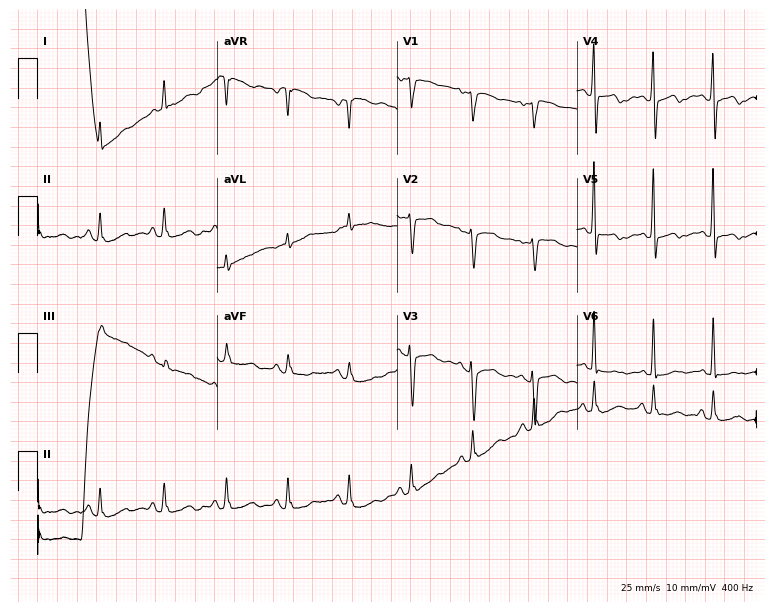
Standard 12-lead ECG recorded from a 72-year-old female patient (7.3-second recording at 400 Hz). None of these six findings is recorded: first-degree AV block, right bundle branch block, left bundle branch block, sinus bradycardia, atrial fibrillation, sinus tachycardia. Findings outside these six are not listed.